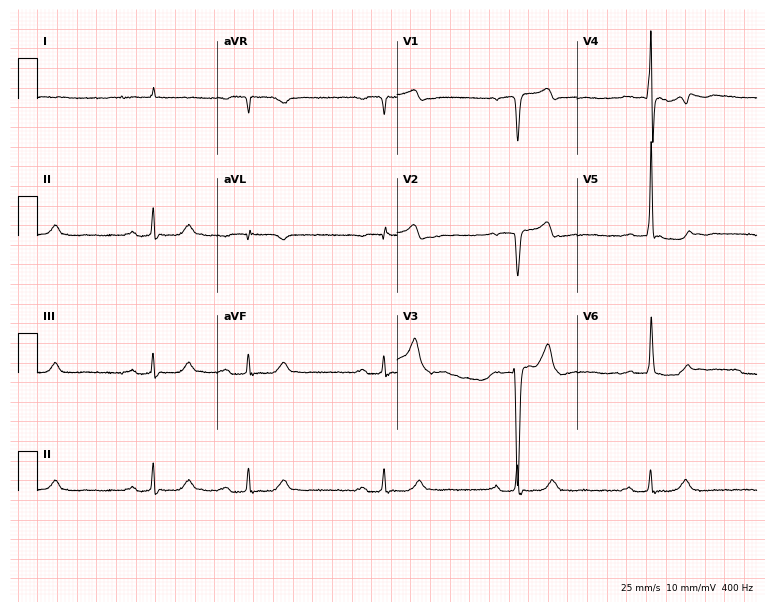
ECG (7.3-second recording at 400 Hz) — an 86-year-old male patient. Screened for six findings — first-degree AV block, right bundle branch block, left bundle branch block, sinus bradycardia, atrial fibrillation, sinus tachycardia — none is recorded.